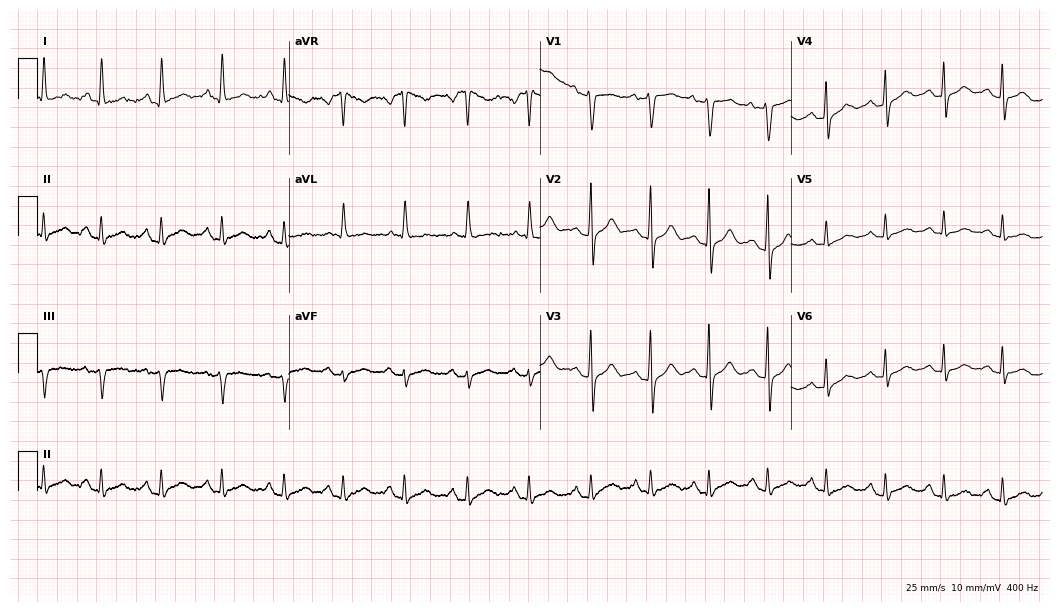
ECG — a female, 64 years old. Screened for six findings — first-degree AV block, right bundle branch block (RBBB), left bundle branch block (LBBB), sinus bradycardia, atrial fibrillation (AF), sinus tachycardia — none is recorded. Other findings, if any, are not listed.